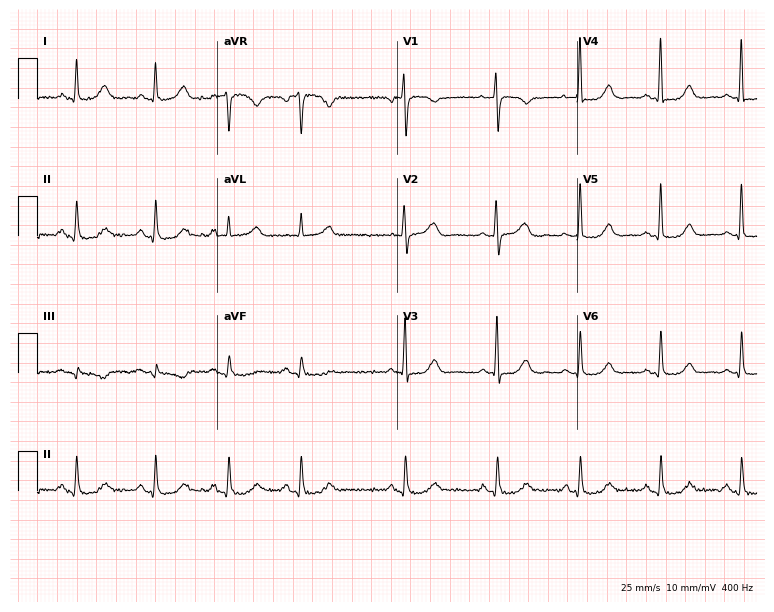
Standard 12-lead ECG recorded from a 60-year-old female patient (7.3-second recording at 400 Hz). None of these six findings is recorded: first-degree AV block, right bundle branch block, left bundle branch block, sinus bradycardia, atrial fibrillation, sinus tachycardia.